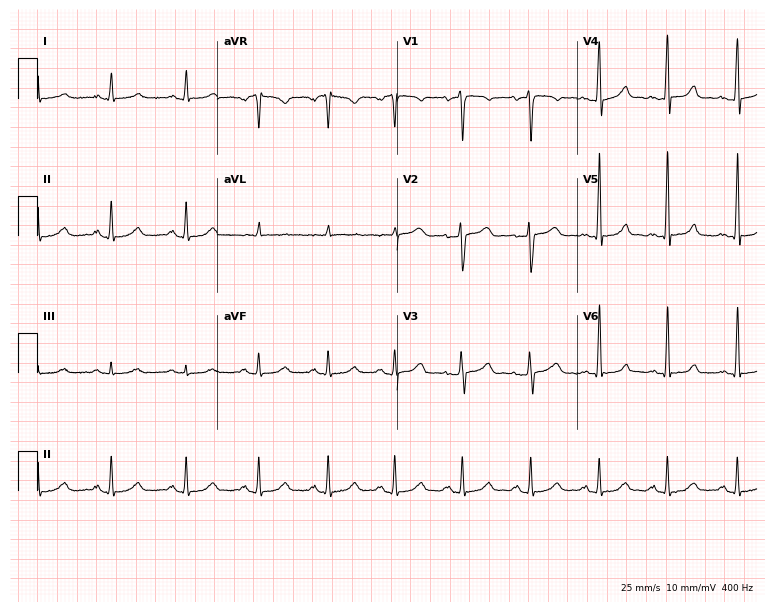
Standard 12-lead ECG recorded from a 46-year-old female patient (7.3-second recording at 400 Hz). Read as a normal ECG.